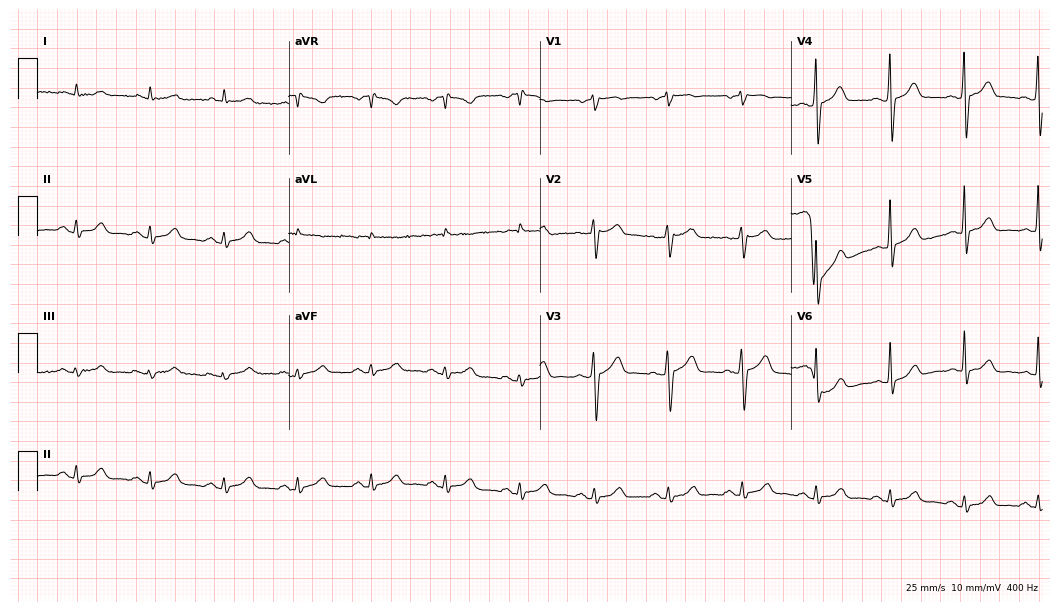
Standard 12-lead ECG recorded from a male patient, 72 years old. Read as a normal ECG.